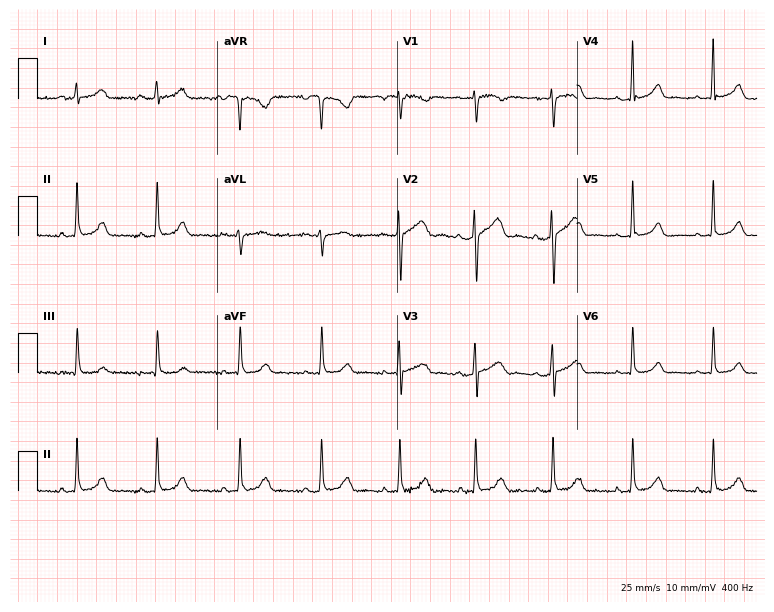
Electrocardiogram (7.3-second recording at 400 Hz), a female, 34 years old. Overall reading on record: normal ECG.